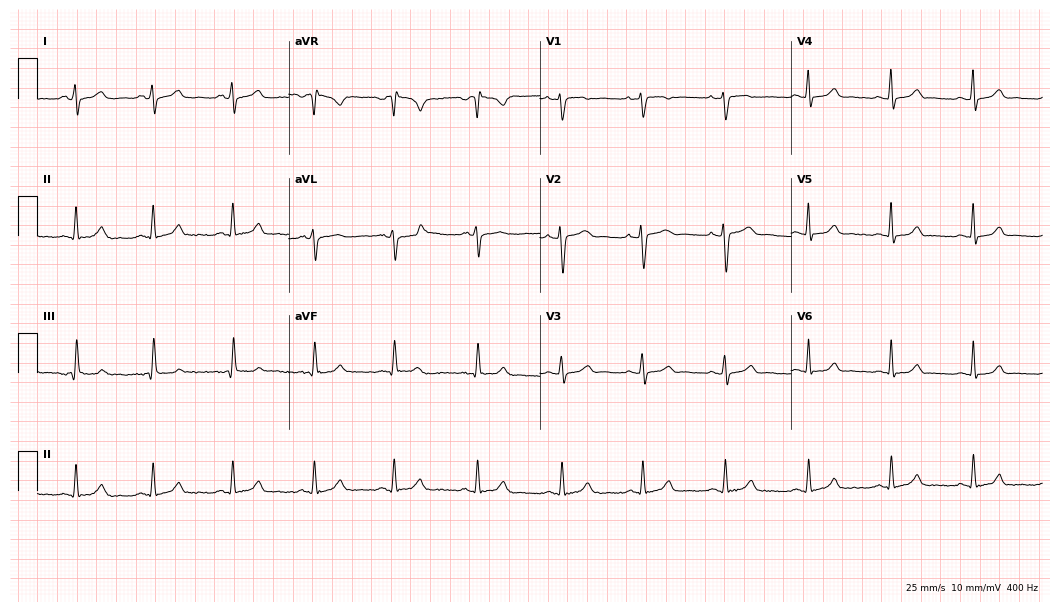
ECG (10.2-second recording at 400 Hz) — a female, 30 years old. Labelled as a normal ECG.